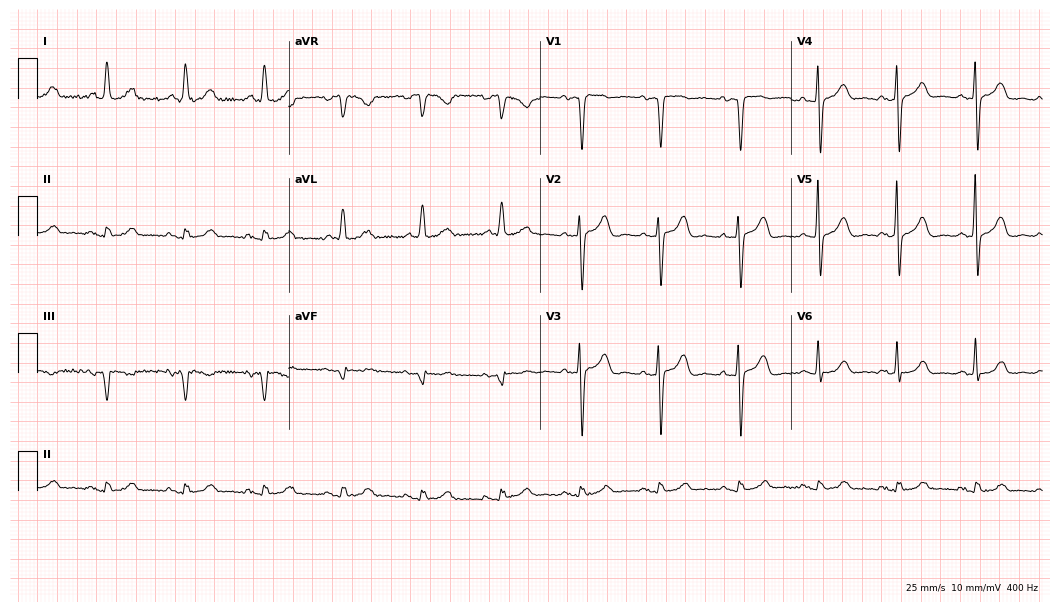
Standard 12-lead ECG recorded from an 85-year-old woman. Read as a normal ECG.